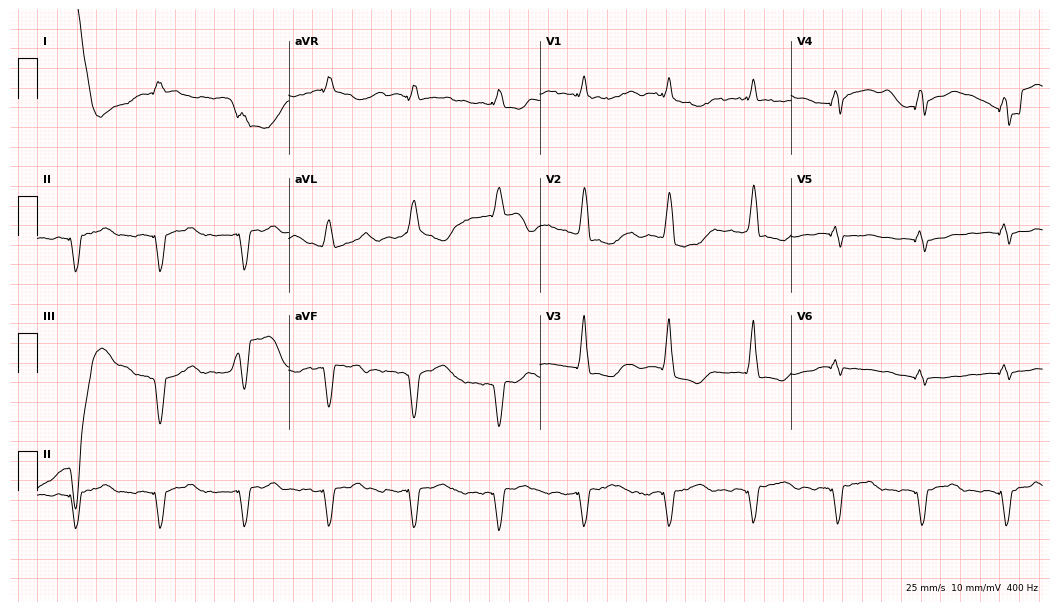
ECG — a female, 86 years old. Findings include right bundle branch block (RBBB), atrial fibrillation (AF).